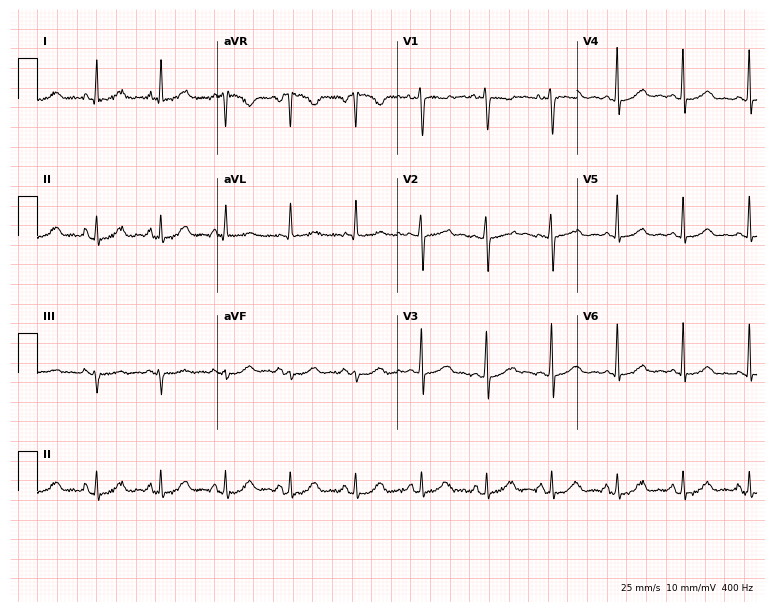
ECG — a 38-year-old female patient. Screened for six findings — first-degree AV block, right bundle branch block, left bundle branch block, sinus bradycardia, atrial fibrillation, sinus tachycardia — none is recorded. Other findings, if any, are not listed.